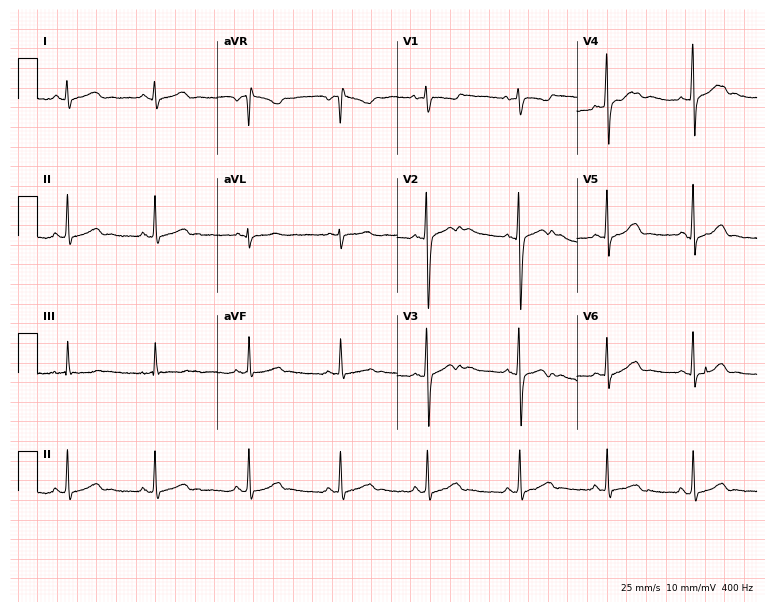
Standard 12-lead ECG recorded from a 19-year-old woman (7.3-second recording at 400 Hz). None of these six findings is recorded: first-degree AV block, right bundle branch block (RBBB), left bundle branch block (LBBB), sinus bradycardia, atrial fibrillation (AF), sinus tachycardia. Findings outside these six are not listed.